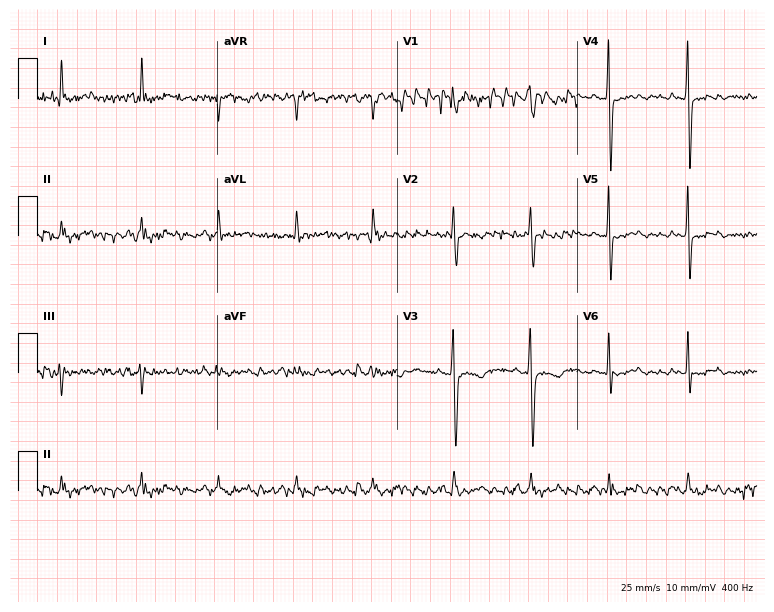
ECG — a 70-year-old woman. Screened for six findings — first-degree AV block, right bundle branch block, left bundle branch block, sinus bradycardia, atrial fibrillation, sinus tachycardia — none is recorded.